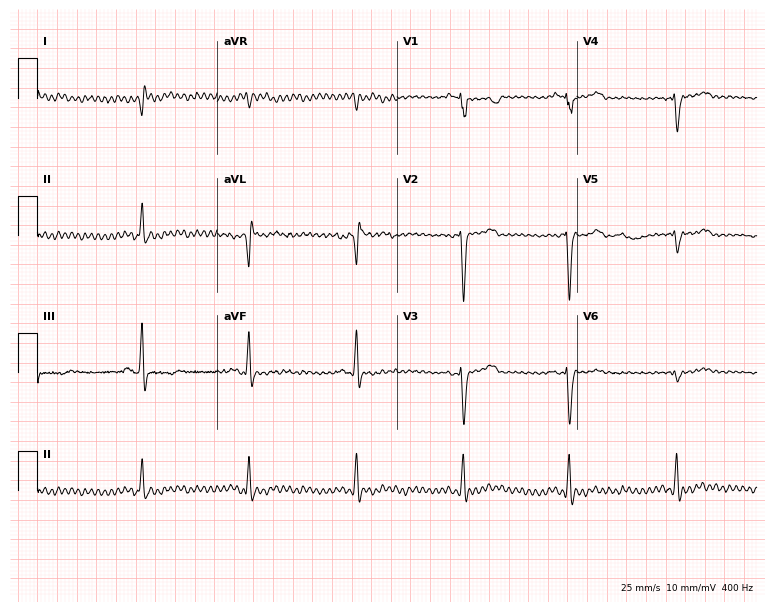
Standard 12-lead ECG recorded from a 68-year-old male patient. None of these six findings is recorded: first-degree AV block, right bundle branch block, left bundle branch block, sinus bradycardia, atrial fibrillation, sinus tachycardia. Only these six findings were labelled.